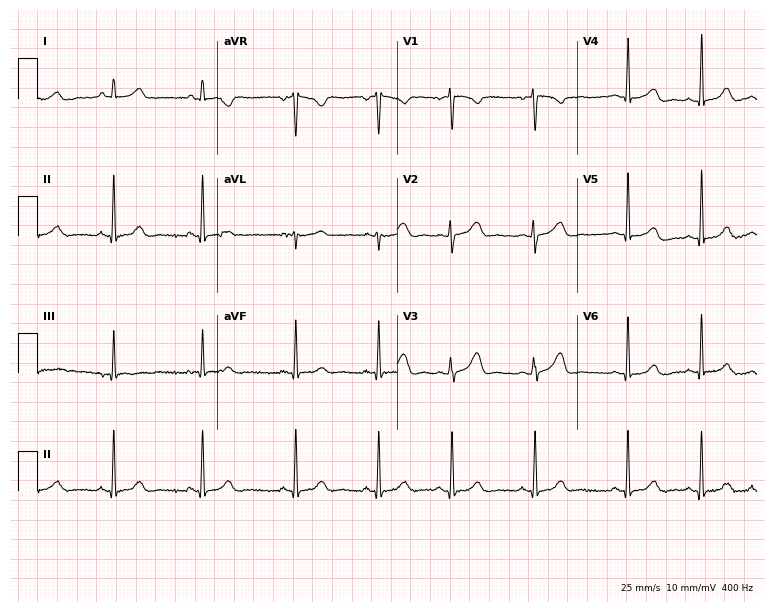
Electrocardiogram (7.3-second recording at 400 Hz), a 20-year-old woman. Overall reading on record: normal ECG.